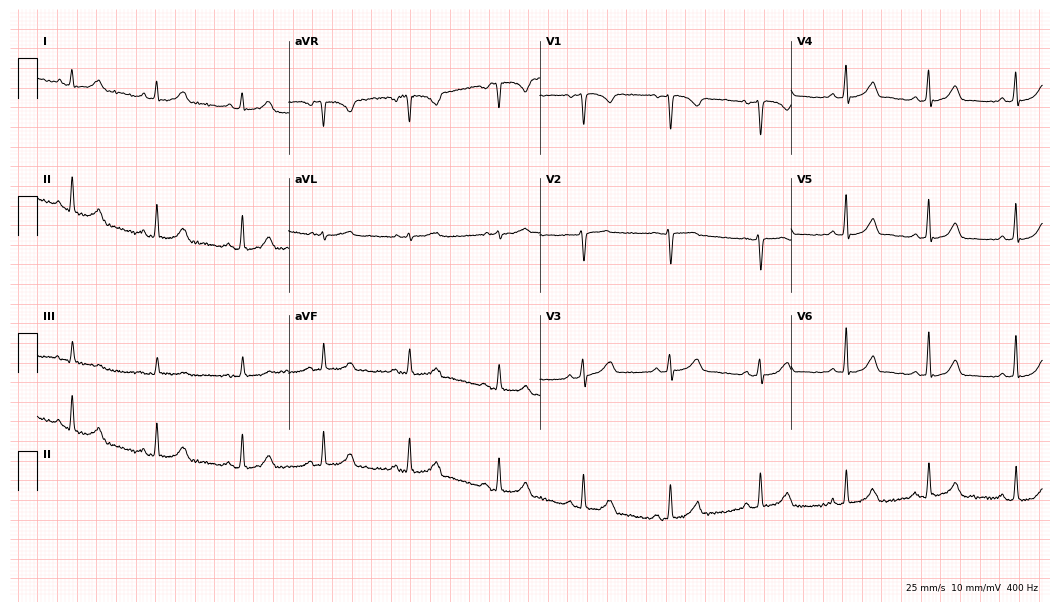
ECG — a 24-year-old female patient. Screened for six findings — first-degree AV block, right bundle branch block (RBBB), left bundle branch block (LBBB), sinus bradycardia, atrial fibrillation (AF), sinus tachycardia — none is recorded.